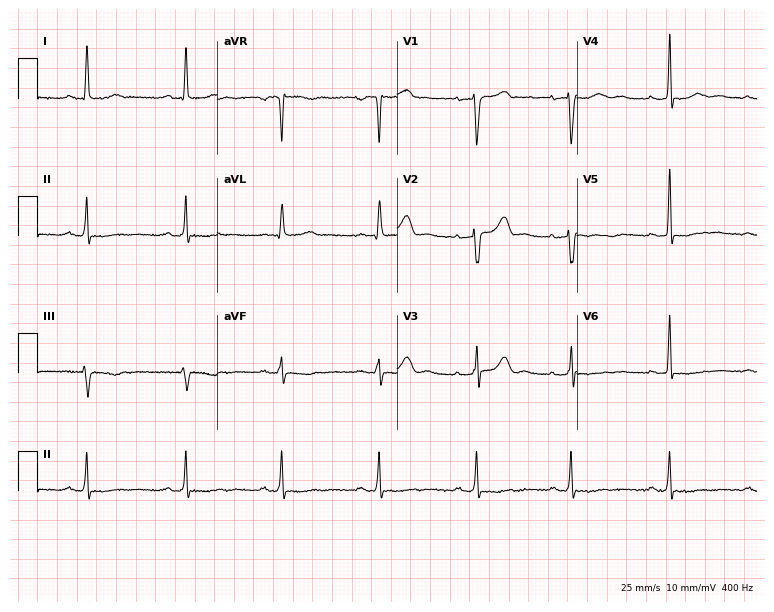
Resting 12-lead electrocardiogram (7.3-second recording at 400 Hz). Patient: a 57-year-old female. None of these six findings is recorded: first-degree AV block, right bundle branch block (RBBB), left bundle branch block (LBBB), sinus bradycardia, atrial fibrillation (AF), sinus tachycardia. Other findings, if any, are not listed.